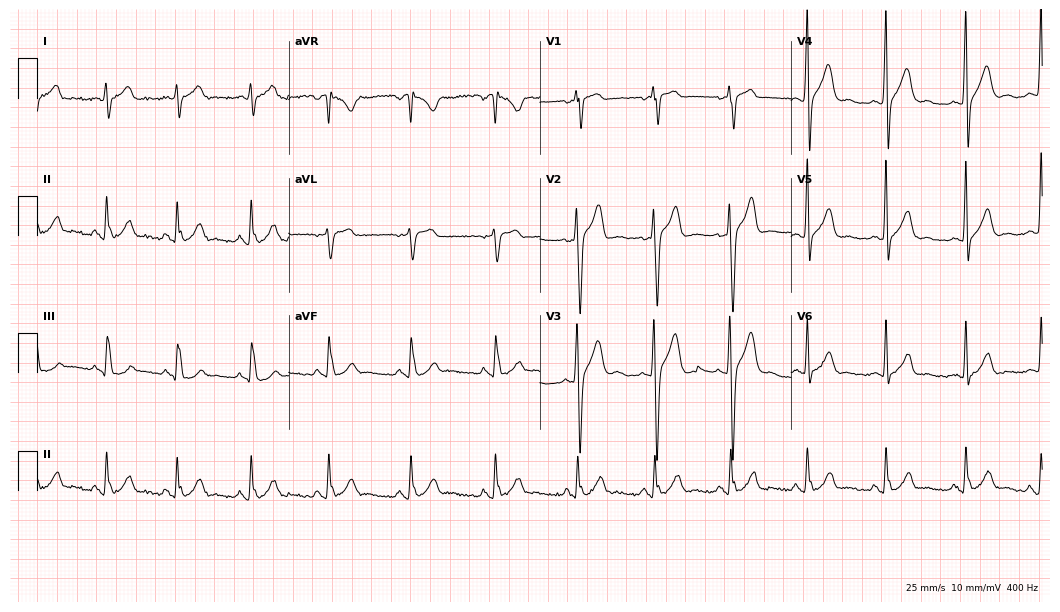
Resting 12-lead electrocardiogram. Patient: a male, 18 years old. Read as a normal ECG.